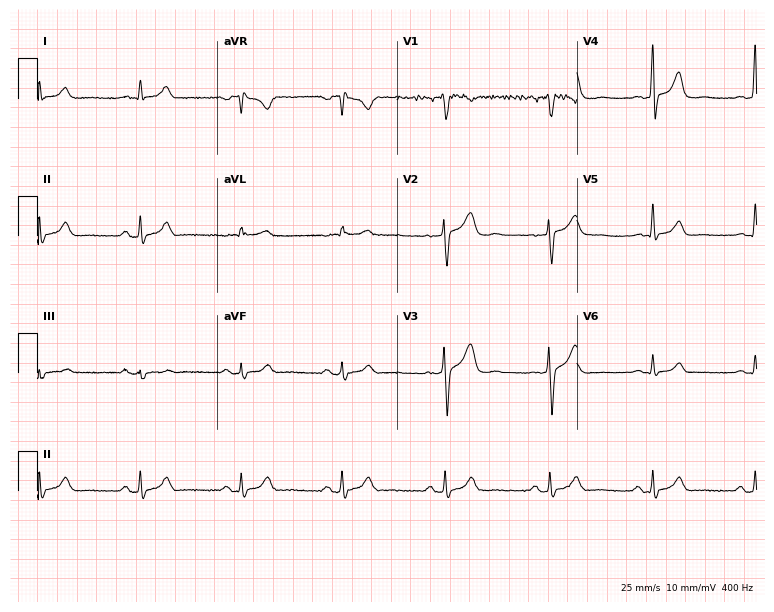
Standard 12-lead ECG recorded from a man, 41 years old. Read as a normal ECG.